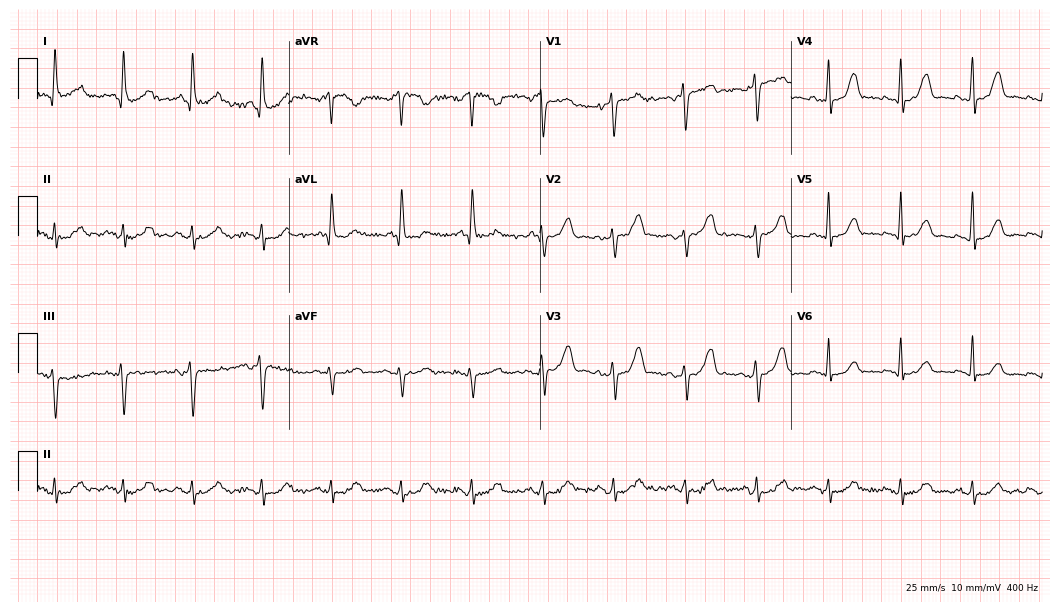
Resting 12-lead electrocardiogram. Patient: a female, 76 years old. None of these six findings is recorded: first-degree AV block, right bundle branch block (RBBB), left bundle branch block (LBBB), sinus bradycardia, atrial fibrillation (AF), sinus tachycardia. Only these six findings were labelled.